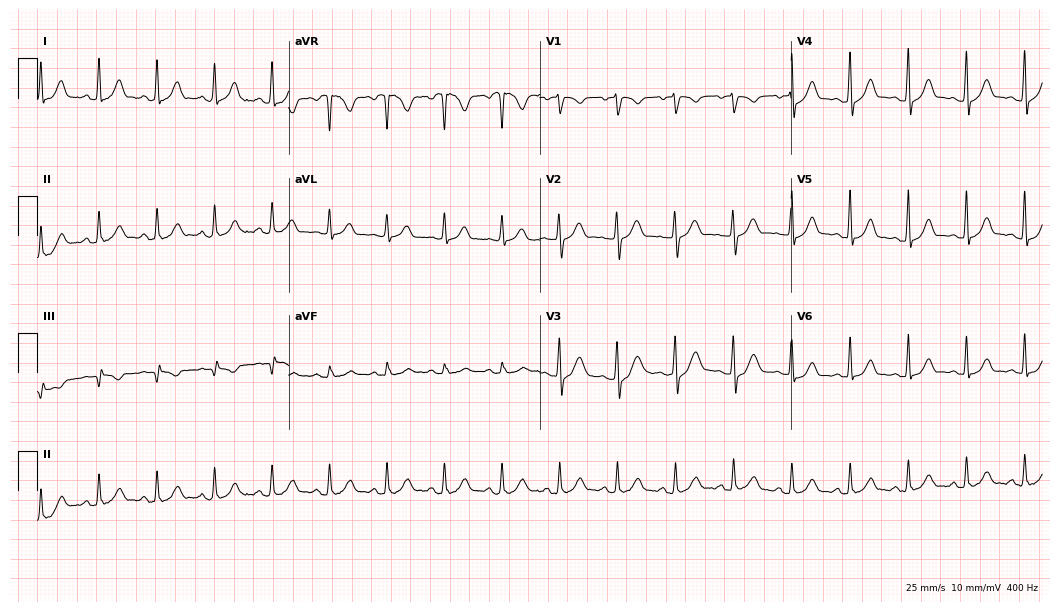
ECG — a woman, 49 years old. Labelled as a normal ECG.